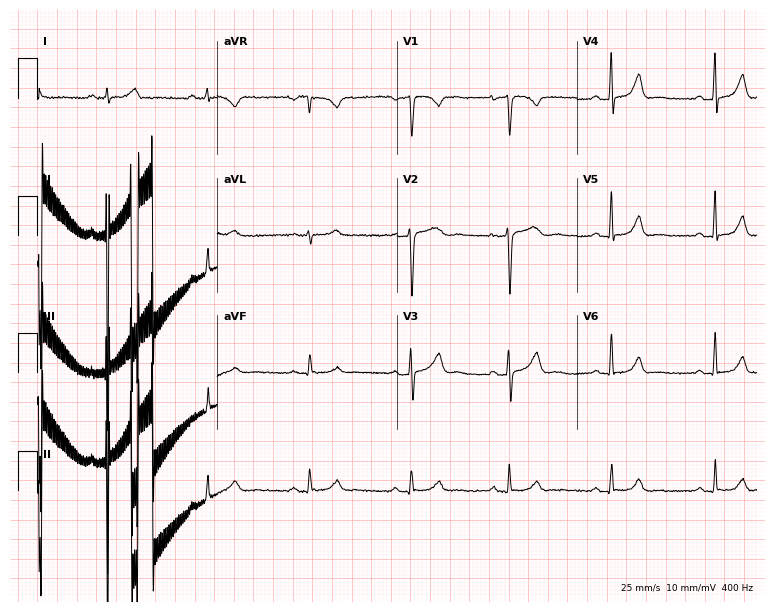
12-lead ECG from a 49-year-old female patient. Screened for six findings — first-degree AV block, right bundle branch block, left bundle branch block, sinus bradycardia, atrial fibrillation, sinus tachycardia — none is recorded. Other findings, if any, are not listed.